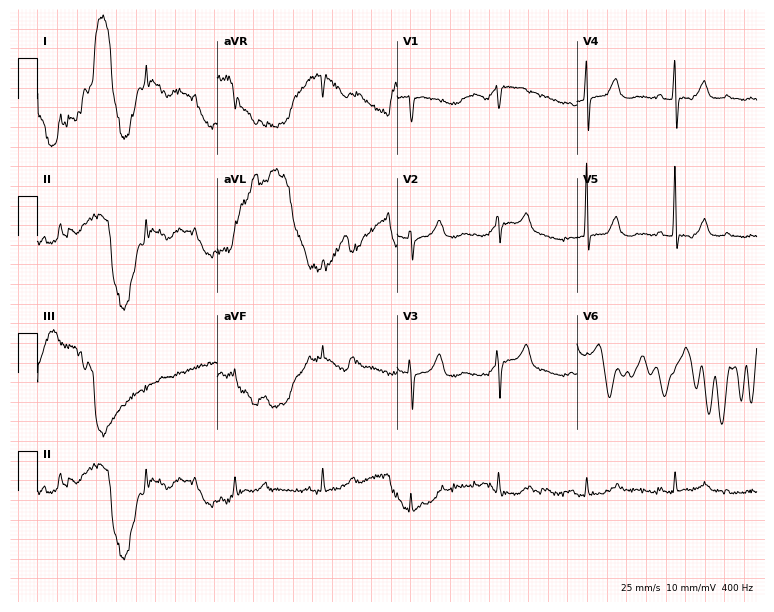
Electrocardiogram, a 74-year-old female patient. Of the six screened findings (first-degree AV block, right bundle branch block (RBBB), left bundle branch block (LBBB), sinus bradycardia, atrial fibrillation (AF), sinus tachycardia), none is recorded.